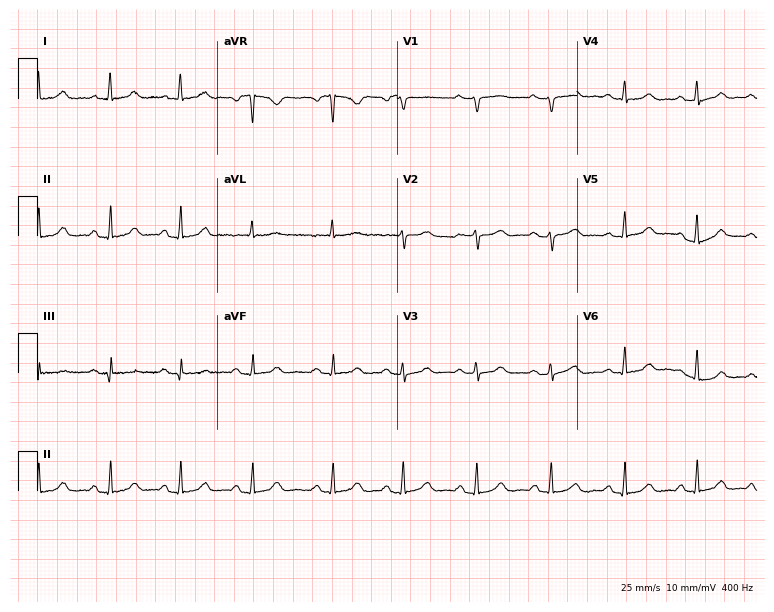
Standard 12-lead ECG recorded from a 67-year-old female patient. None of these six findings is recorded: first-degree AV block, right bundle branch block, left bundle branch block, sinus bradycardia, atrial fibrillation, sinus tachycardia.